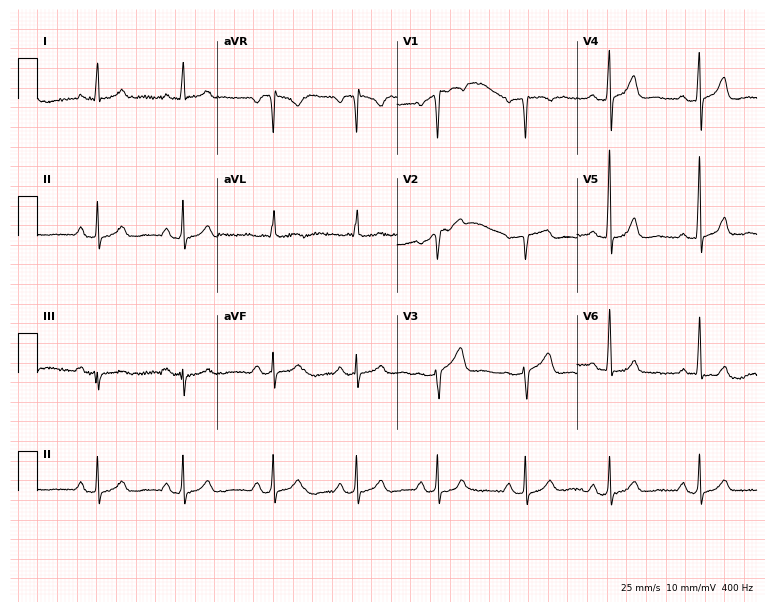
12-lead ECG (7.3-second recording at 400 Hz) from a 56-year-old woman. Labelled as a normal ECG.